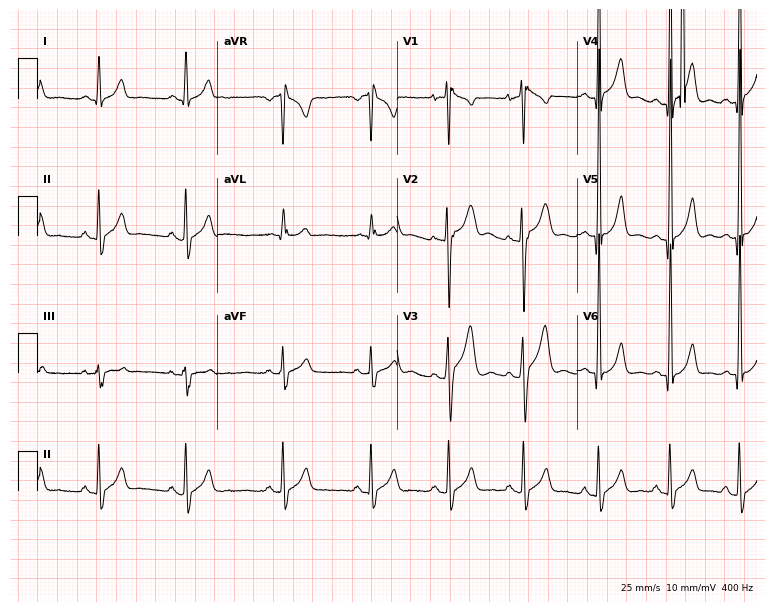
Standard 12-lead ECG recorded from a man, 17 years old (7.3-second recording at 400 Hz). None of these six findings is recorded: first-degree AV block, right bundle branch block (RBBB), left bundle branch block (LBBB), sinus bradycardia, atrial fibrillation (AF), sinus tachycardia. Only these six findings were labelled.